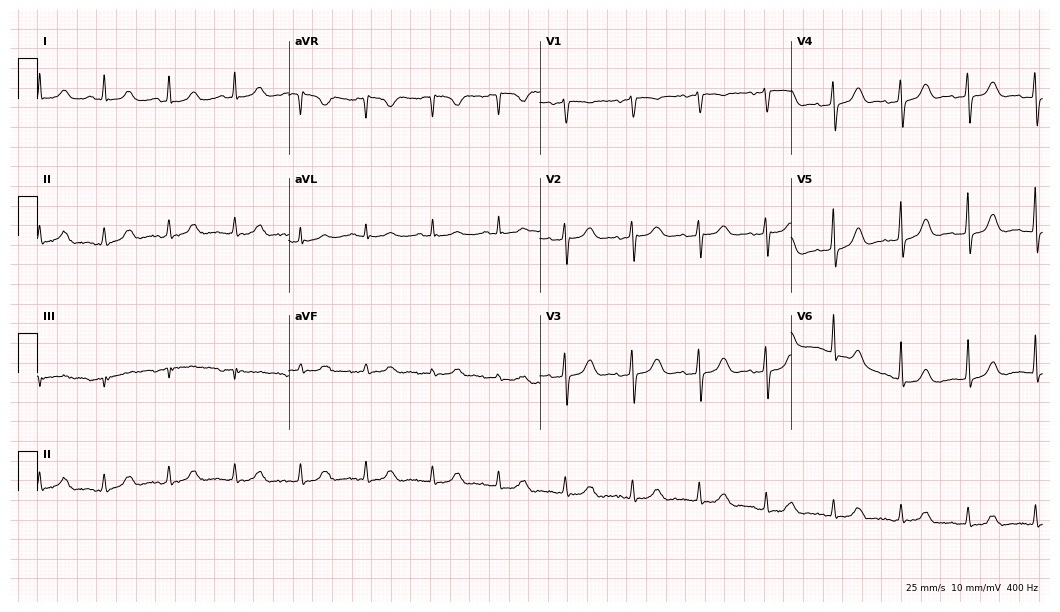
12-lead ECG (10.2-second recording at 400 Hz) from a 79-year-old female. Labelled as a normal ECG.